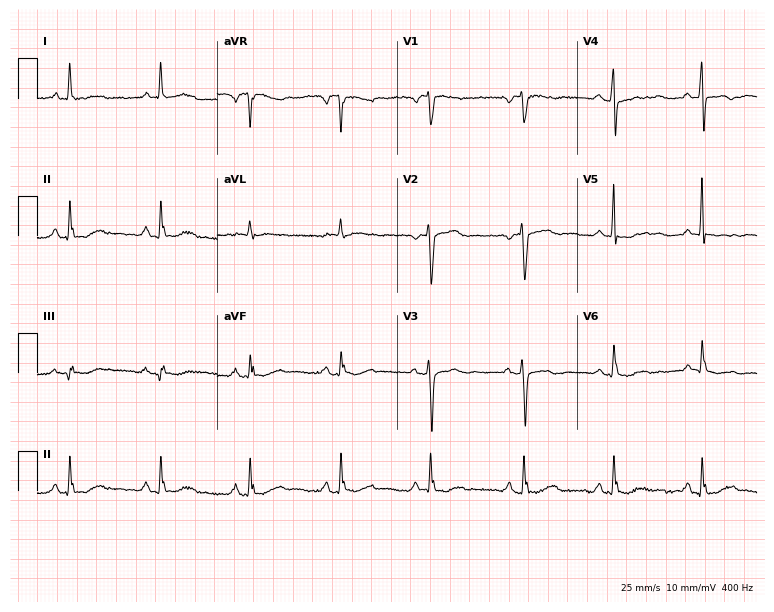
12-lead ECG from a female, 82 years old. Screened for six findings — first-degree AV block, right bundle branch block, left bundle branch block, sinus bradycardia, atrial fibrillation, sinus tachycardia — none is recorded.